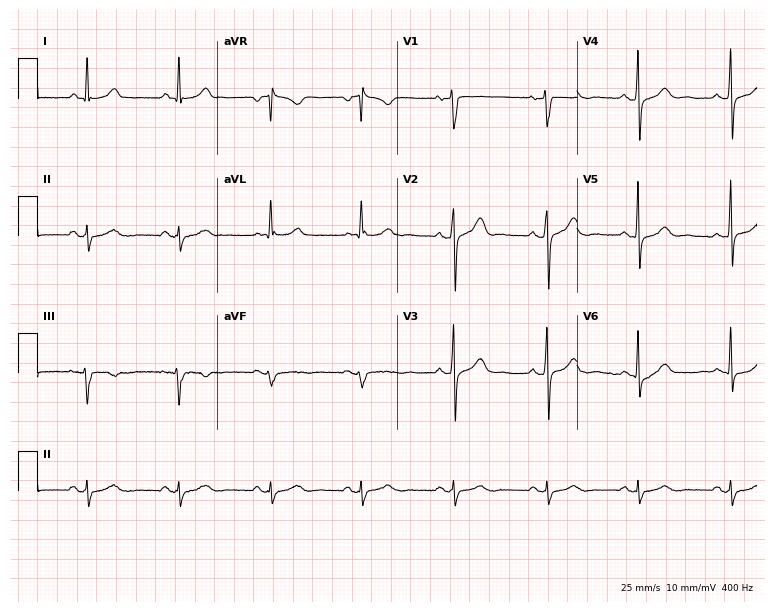
Standard 12-lead ECG recorded from a 51-year-old male patient. None of these six findings is recorded: first-degree AV block, right bundle branch block, left bundle branch block, sinus bradycardia, atrial fibrillation, sinus tachycardia. Findings outside these six are not listed.